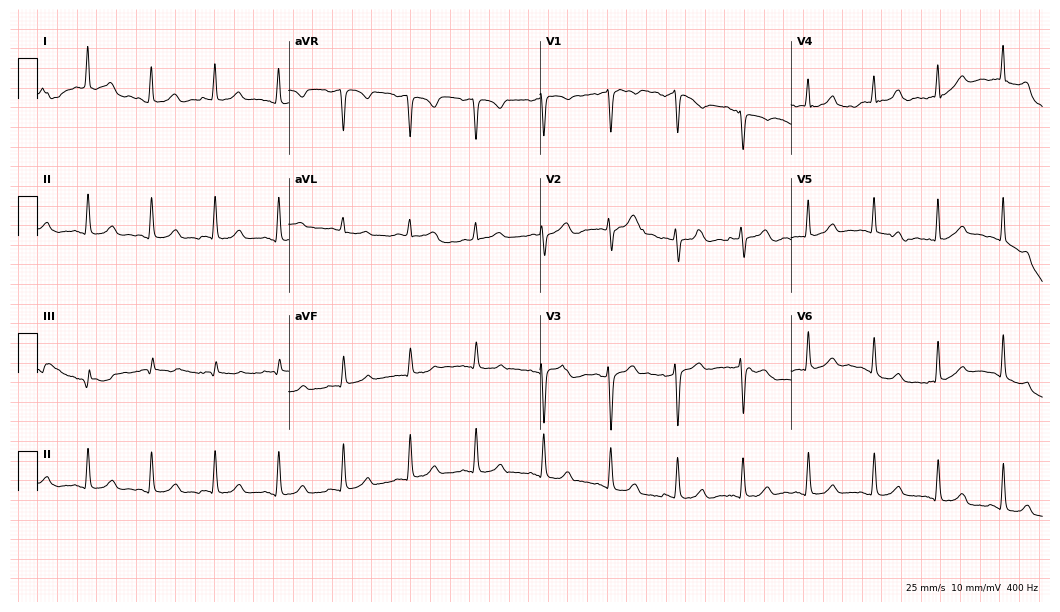
Electrocardiogram, a 49-year-old woman. Overall reading on record: normal ECG.